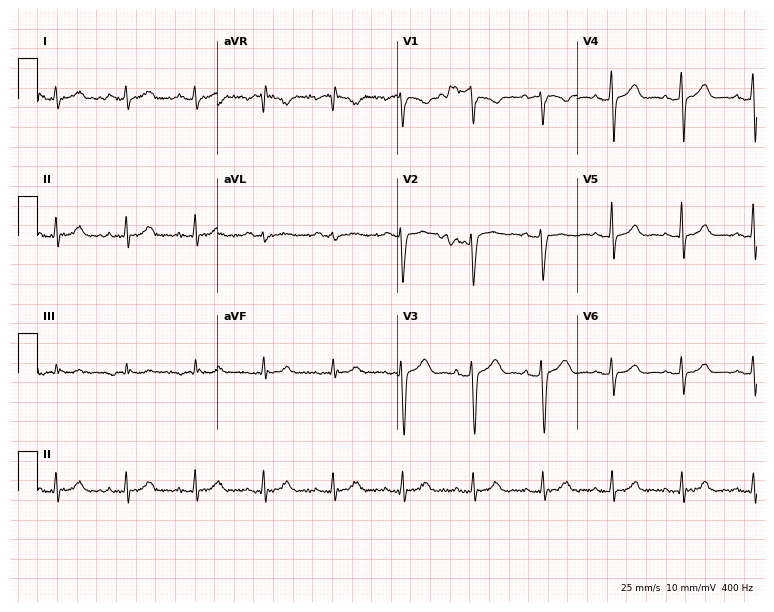
Standard 12-lead ECG recorded from a female patient, 39 years old (7.3-second recording at 400 Hz). Read as a normal ECG.